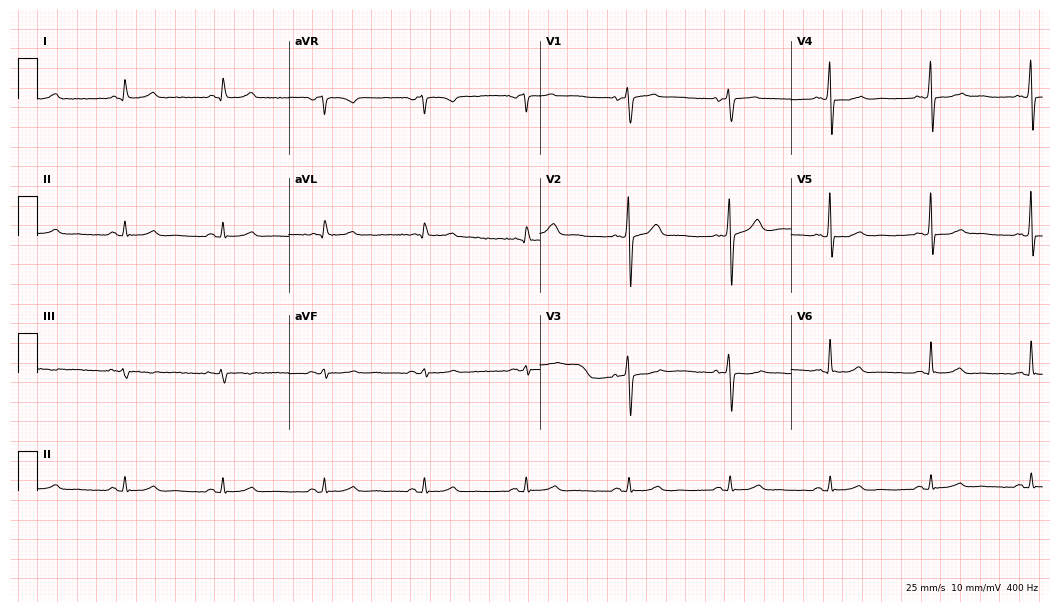
Electrocardiogram, a 57-year-old male. Overall reading on record: normal ECG.